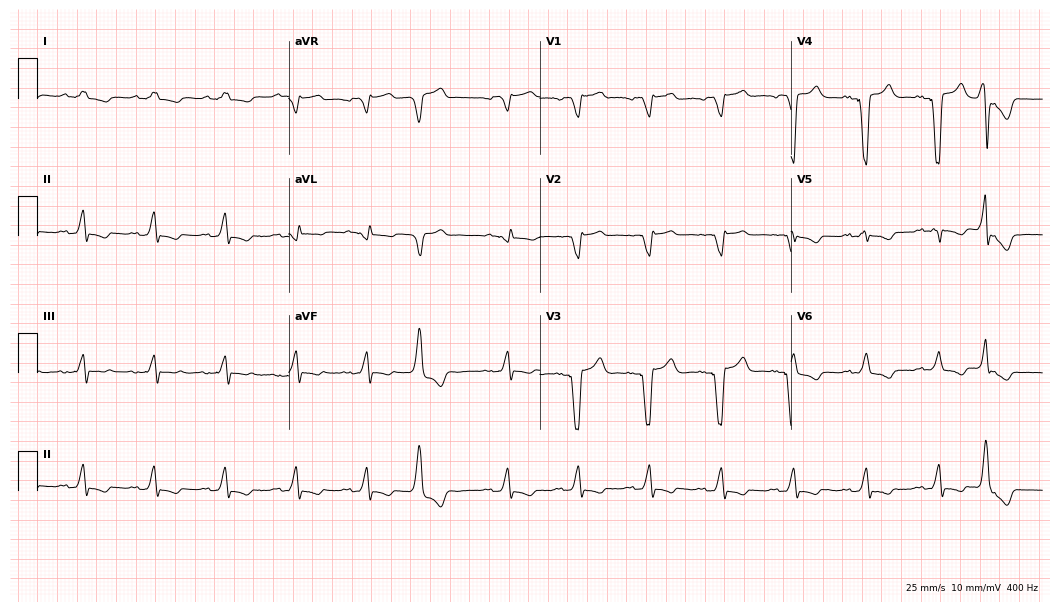
Resting 12-lead electrocardiogram. Patient: a male, 27 years old. None of these six findings is recorded: first-degree AV block, right bundle branch block, left bundle branch block, sinus bradycardia, atrial fibrillation, sinus tachycardia.